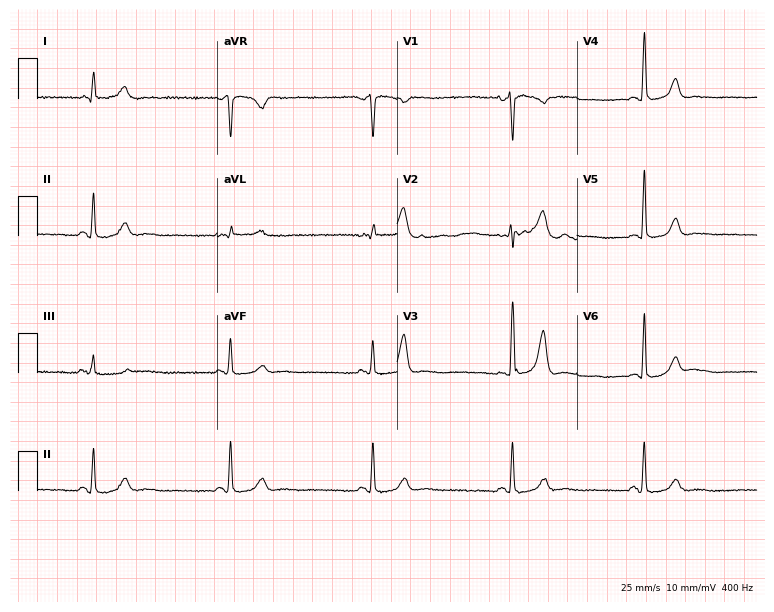
12-lead ECG from a woman, 52 years old. Findings include sinus bradycardia (a sinus rate of 50 beats per minute or less).